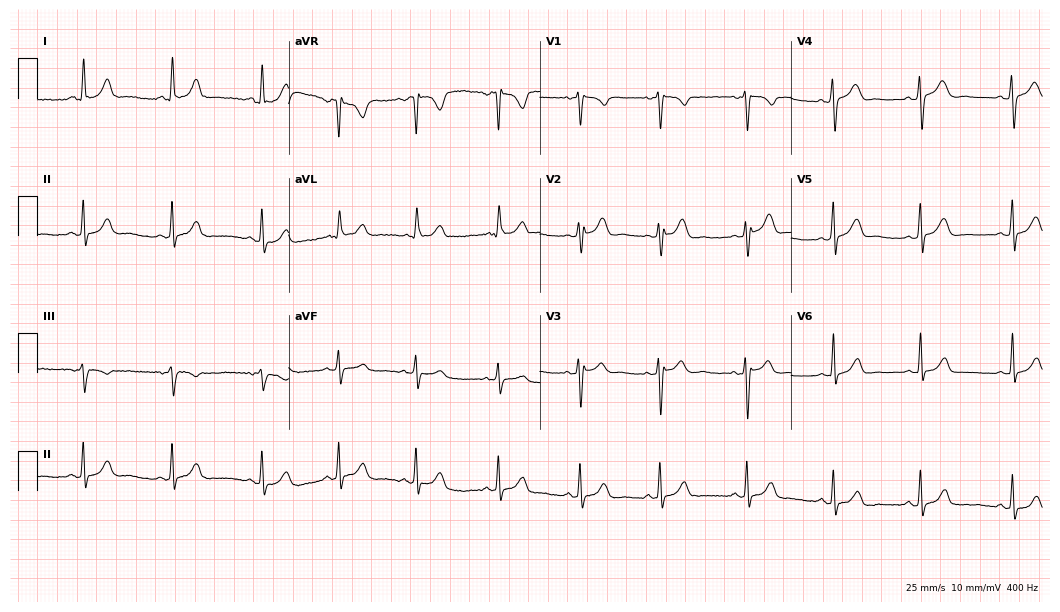
12-lead ECG (10.2-second recording at 400 Hz) from a 37-year-old female. Screened for six findings — first-degree AV block, right bundle branch block, left bundle branch block, sinus bradycardia, atrial fibrillation, sinus tachycardia — none is recorded. Findings outside these six are not listed.